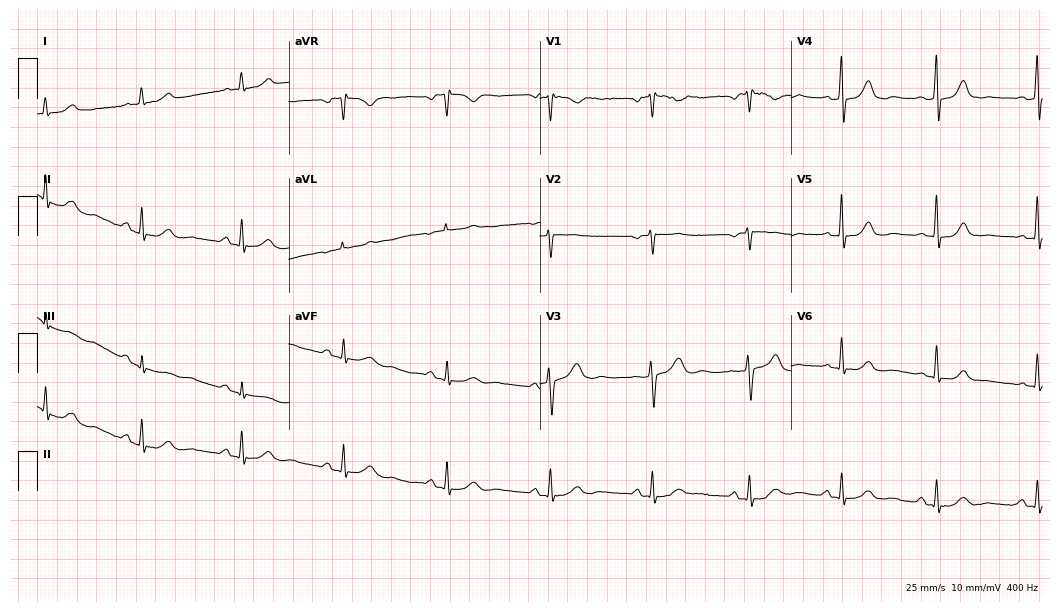
Electrocardiogram, a 42-year-old female patient. Overall reading on record: normal ECG.